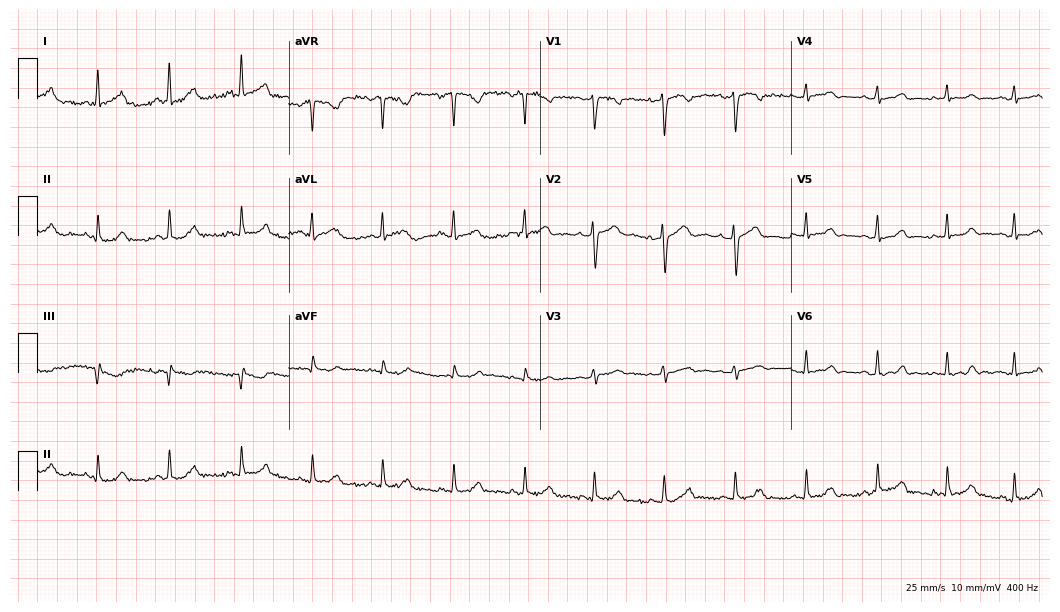
Resting 12-lead electrocardiogram (10.2-second recording at 400 Hz). Patient: a woman, 35 years old. Read as a normal ECG.